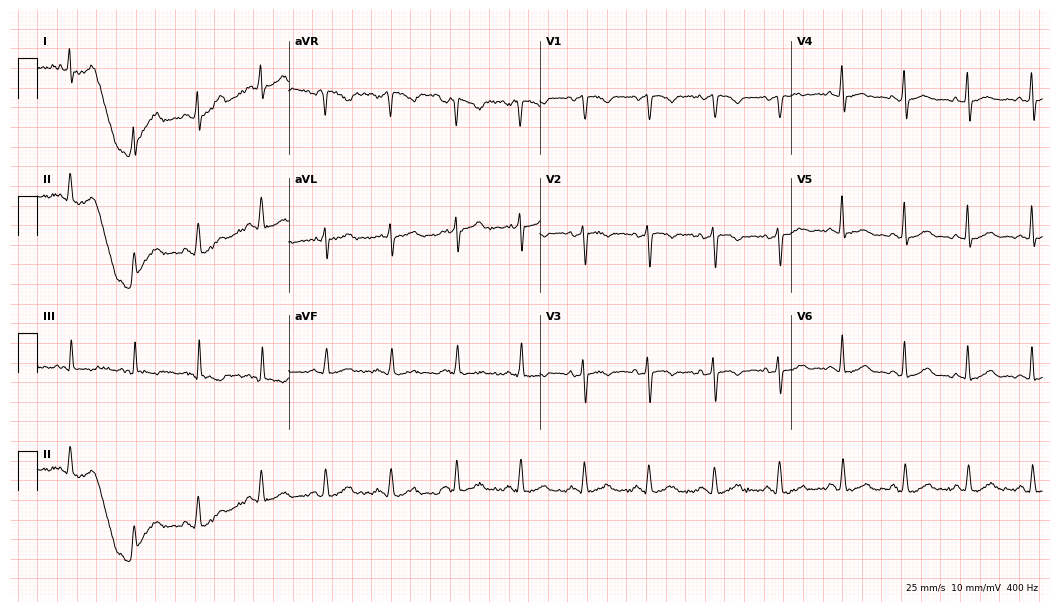
Standard 12-lead ECG recorded from a 49-year-old female patient. None of these six findings is recorded: first-degree AV block, right bundle branch block, left bundle branch block, sinus bradycardia, atrial fibrillation, sinus tachycardia. Findings outside these six are not listed.